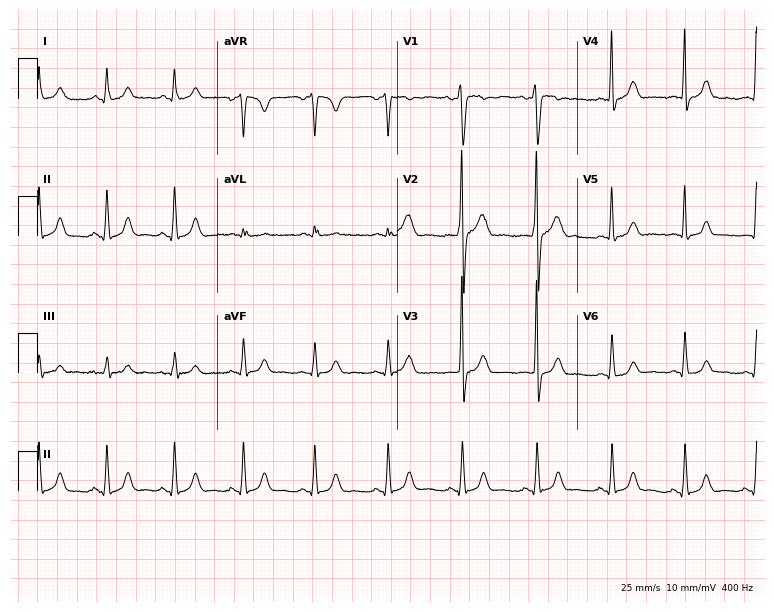
ECG — a man, 38 years old. Labelled as a normal ECG.